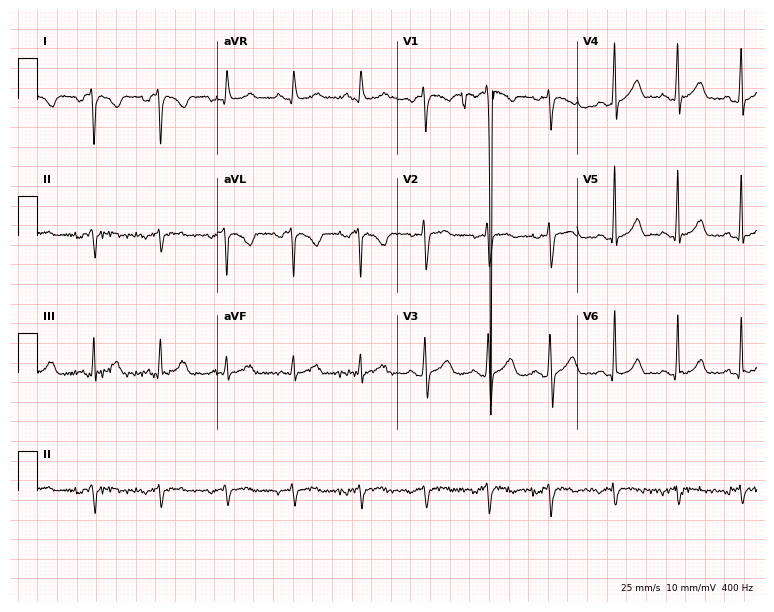
Electrocardiogram, a female, 40 years old. Of the six screened findings (first-degree AV block, right bundle branch block, left bundle branch block, sinus bradycardia, atrial fibrillation, sinus tachycardia), none is recorded. Other findings, if any, are not listed.